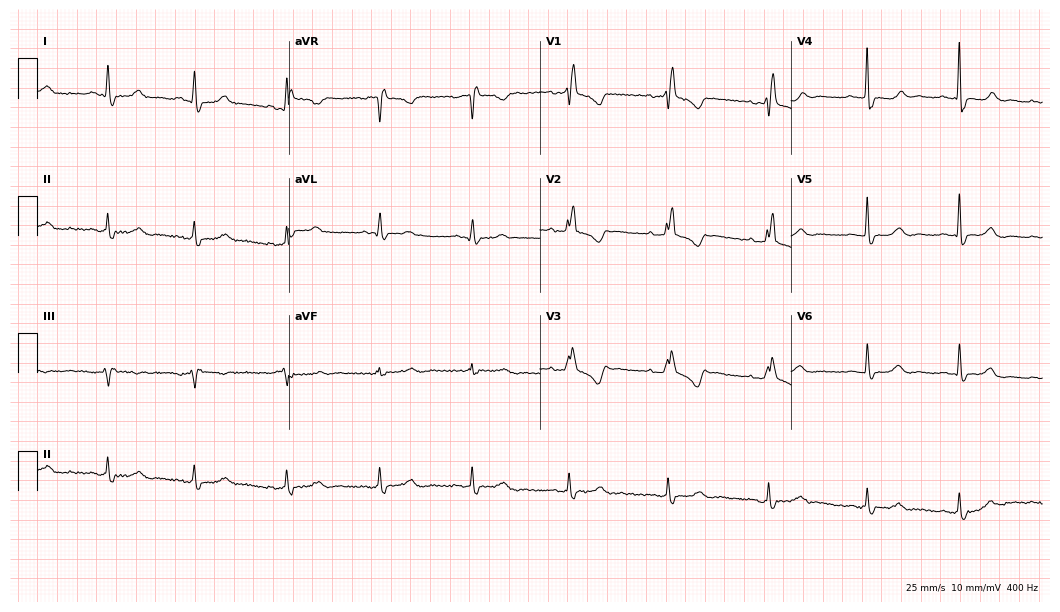
Standard 12-lead ECG recorded from a 55-year-old female (10.2-second recording at 400 Hz). The tracing shows right bundle branch block.